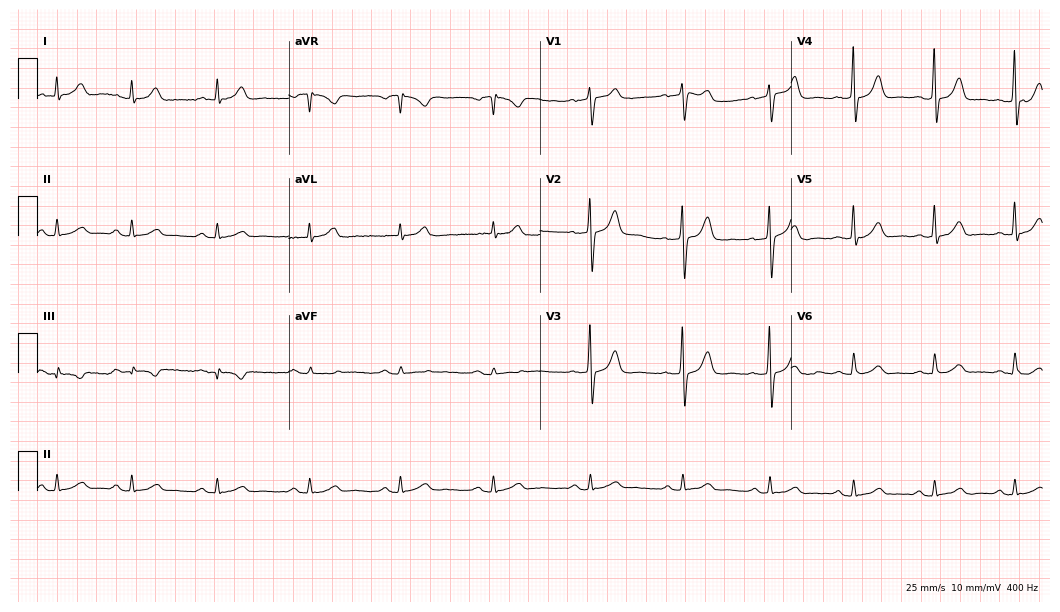
Standard 12-lead ECG recorded from a 70-year-old male (10.2-second recording at 400 Hz). Read as a normal ECG.